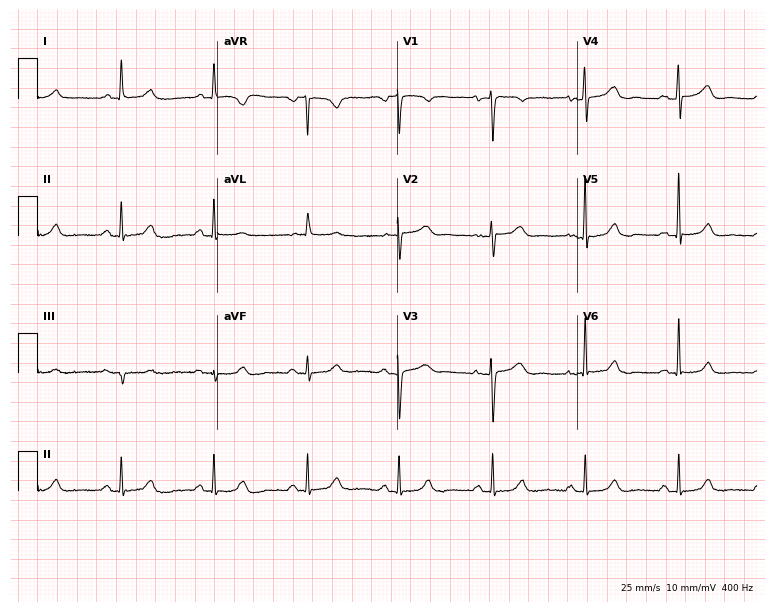
Standard 12-lead ECG recorded from a female, 61 years old. Read as a normal ECG.